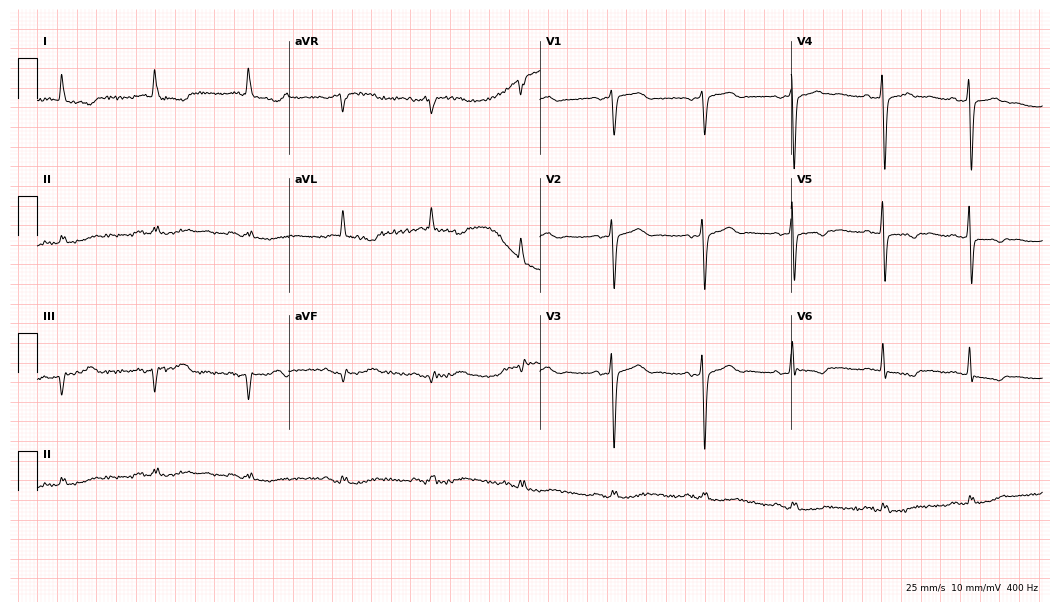
ECG (10.2-second recording at 400 Hz) — a woman, 80 years old. Screened for six findings — first-degree AV block, right bundle branch block, left bundle branch block, sinus bradycardia, atrial fibrillation, sinus tachycardia — none is recorded.